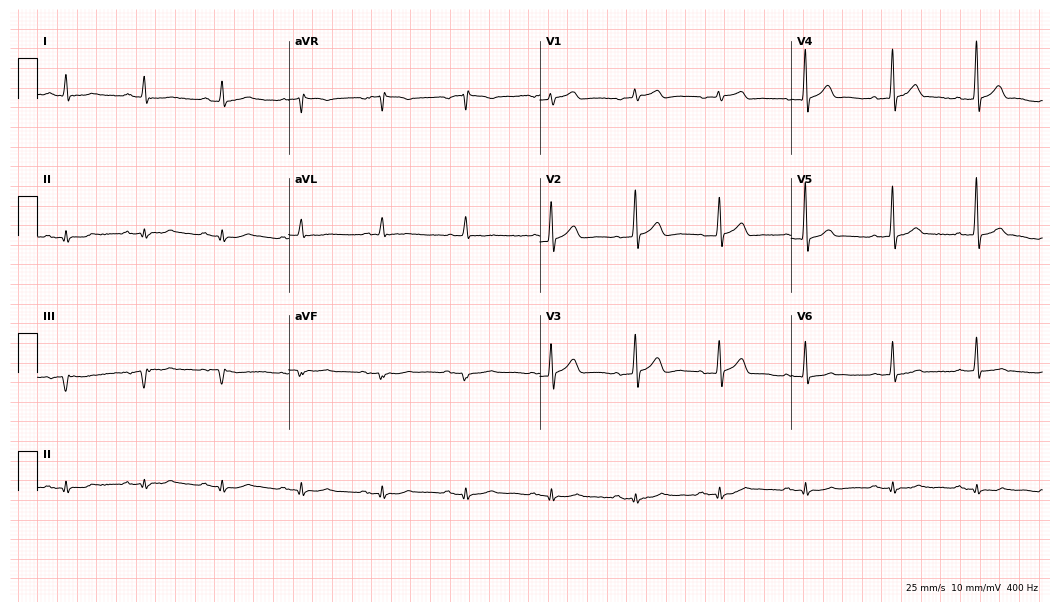
Electrocardiogram (10.2-second recording at 400 Hz), a 63-year-old man. Overall reading on record: normal ECG.